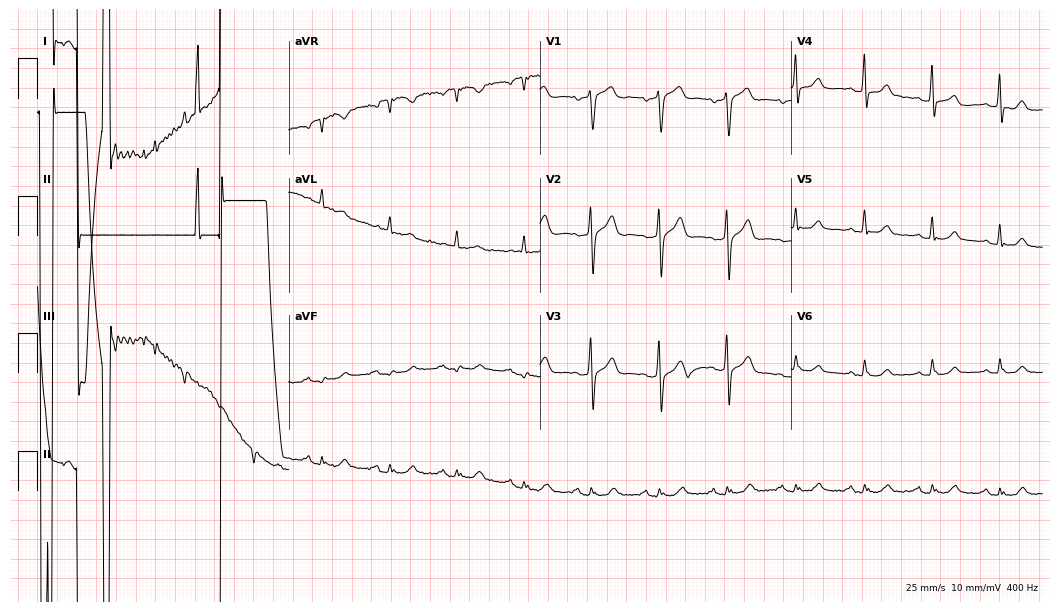
Standard 12-lead ECG recorded from a 56-year-old male. None of these six findings is recorded: first-degree AV block, right bundle branch block (RBBB), left bundle branch block (LBBB), sinus bradycardia, atrial fibrillation (AF), sinus tachycardia. Findings outside these six are not listed.